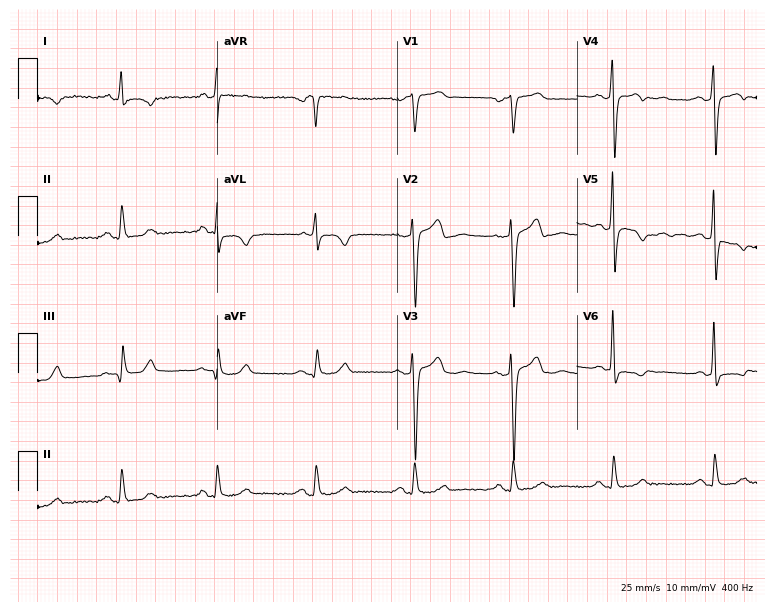
Electrocardiogram (7.3-second recording at 400 Hz), a 46-year-old man. Of the six screened findings (first-degree AV block, right bundle branch block, left bundle branch block, sinus bradycardia, atrial fibrillation, sinus tachycardia), none is recorded. Other findings, if any, are not listed.